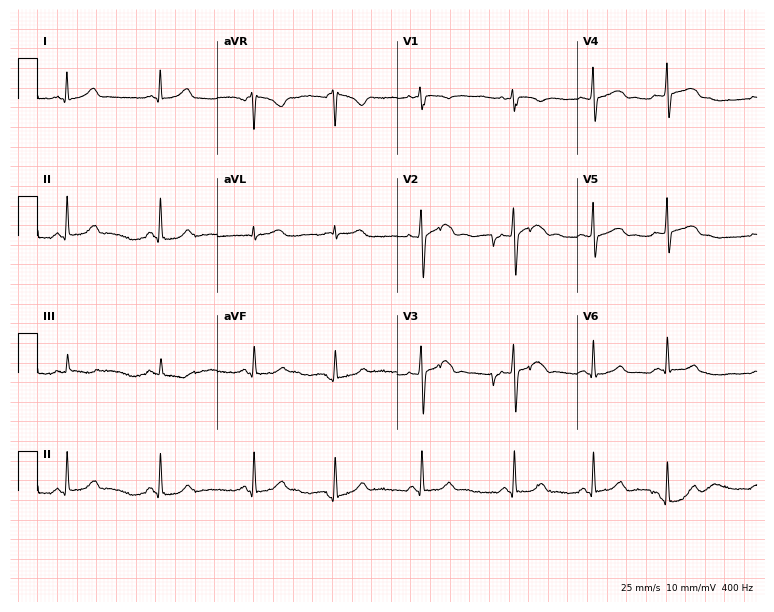
ECG (7.3-second recording at 400 Hz) — a 20-year-old female. Labelled as a normal ECG.